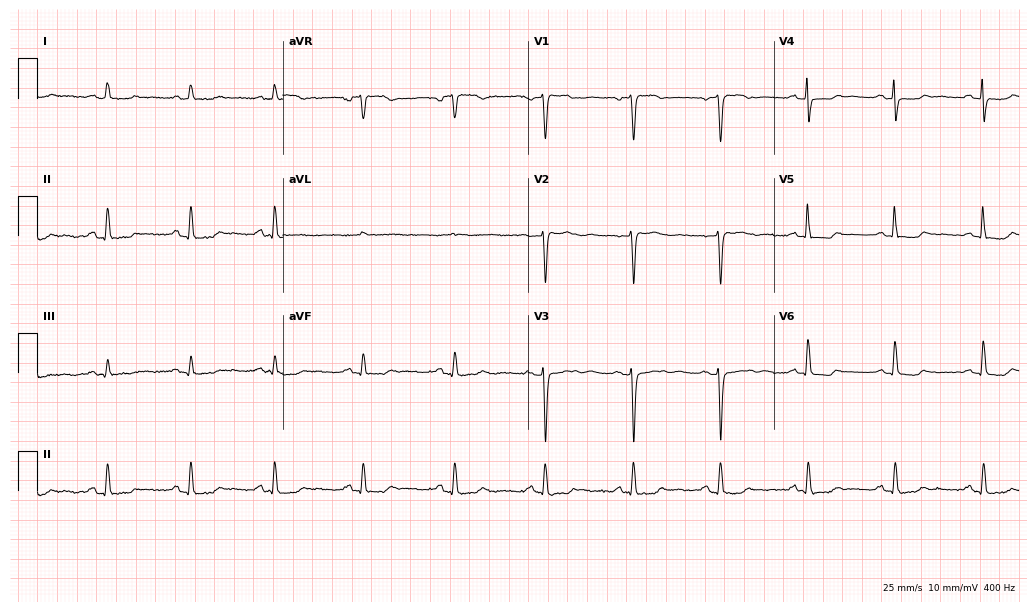
ECG (10-second recording at 400 Hz) — a female, 62 years old. Screened for six findings — first-degree AV block, right bundle branch block (RBBB), left bundle branch block (LBBB), sinus bradycardia, atrial fibrillation (AF), sinus tachycardia — none is recorded.